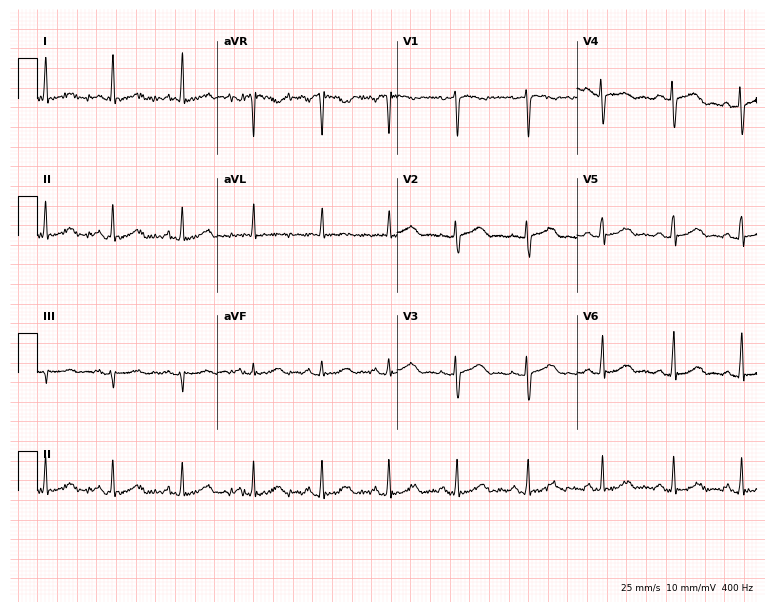
12-lead ECG from a woman, 44 years old. No first-degree AV block, right bundle branch block (RBBB), left bundle branch block (LBBB), sinus bradycardia, atrial fibrillation (AF) or sinus tachycardia recorded for this tracing.